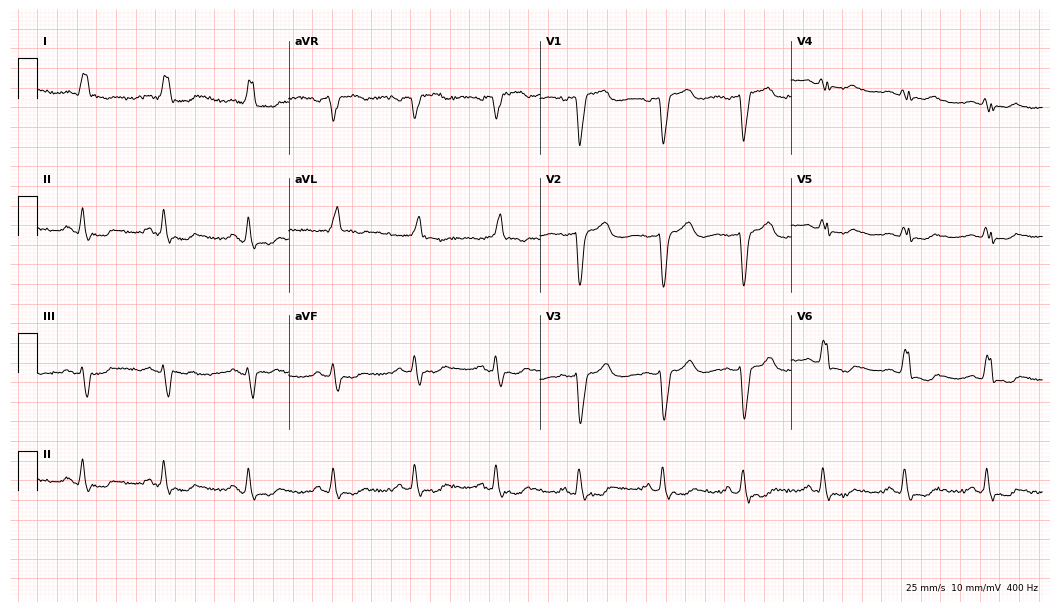
Standard 12-lead ECG recorded from a woman, 83 years old (10.2-second recording at 400 Hz). None of these six findings is recorded: first-degree AV block, right bundle branch block, left bundle branch block, sinus bradycardia, atrial fibrillation, sinus tachycardia.